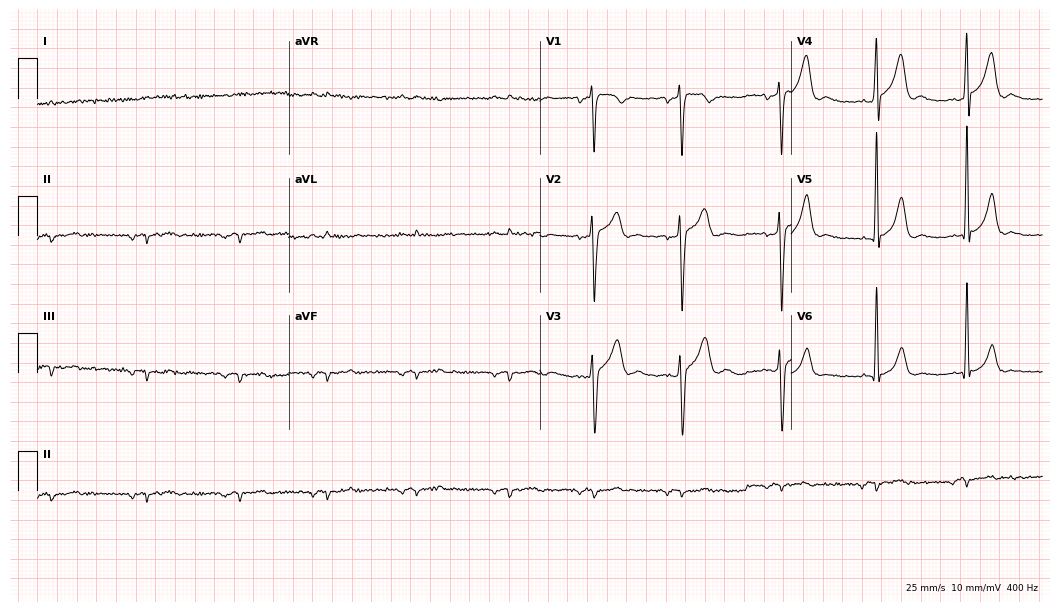
Electrocardiogram, a 30-year-old man. Of the six screened findings (first-degree AV block, right bundle branch block (RBBB), left bundle branch block (LBBB), sinus bradycardia, atrial fibrillation (AF), sinus tachycardia), none is recorded. Only these six findings were labelled.